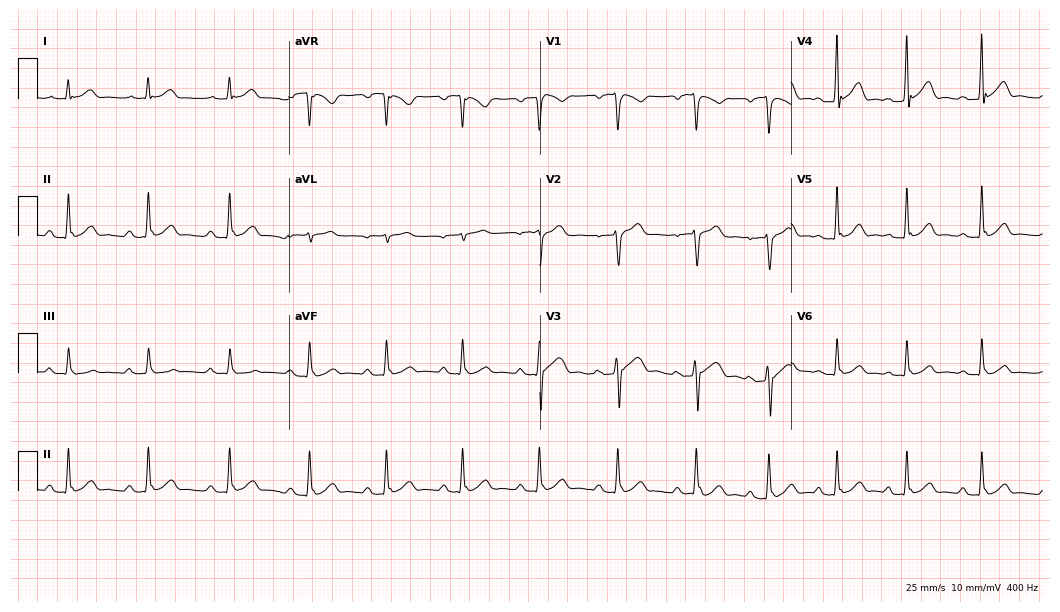
12-lead ECG (10.2-second recording at 400 Hz) from a male patient, 54 years old. Findings include first-degree AV block.